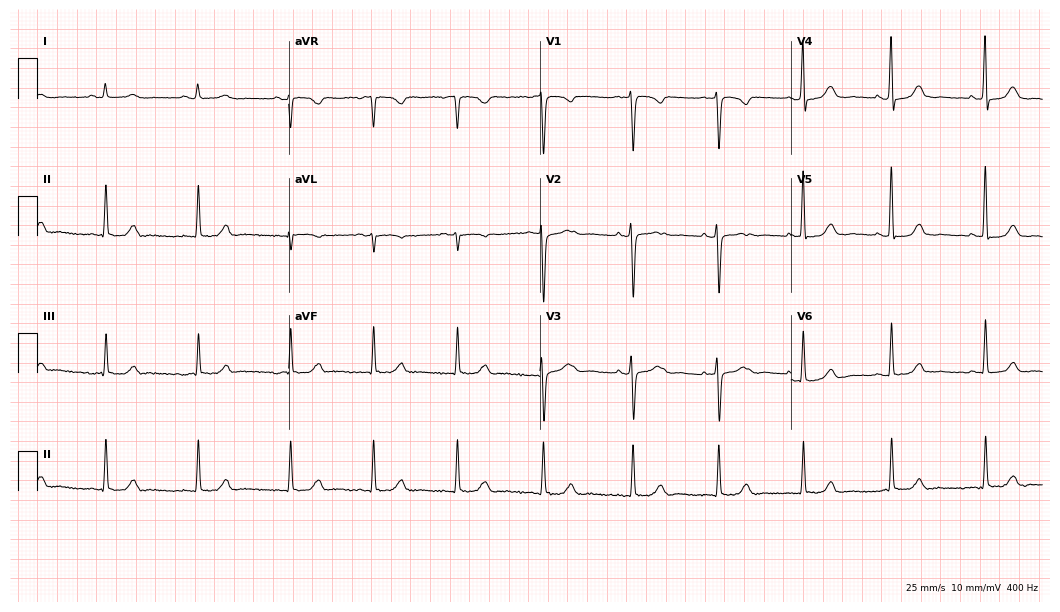
Resting 12-lead electrocardiogram (10.2-second recording at 400 Hz). Patient: a 34-year-old female. Read as a normal ECG.